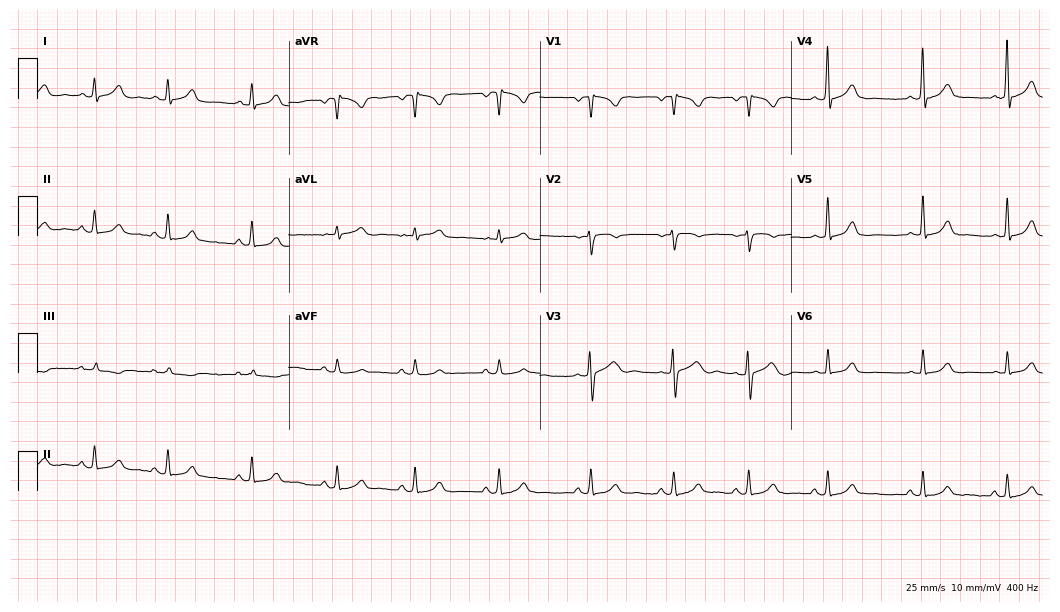
ECG — a female, 23 years old. Screened for six findings — first-degree AV block, right bundle branch block, left bundle branch block, sinus bradycardia, atrial fibrillation, sinus tachycardia — none is recorded. Other findings, if any, are not listed.